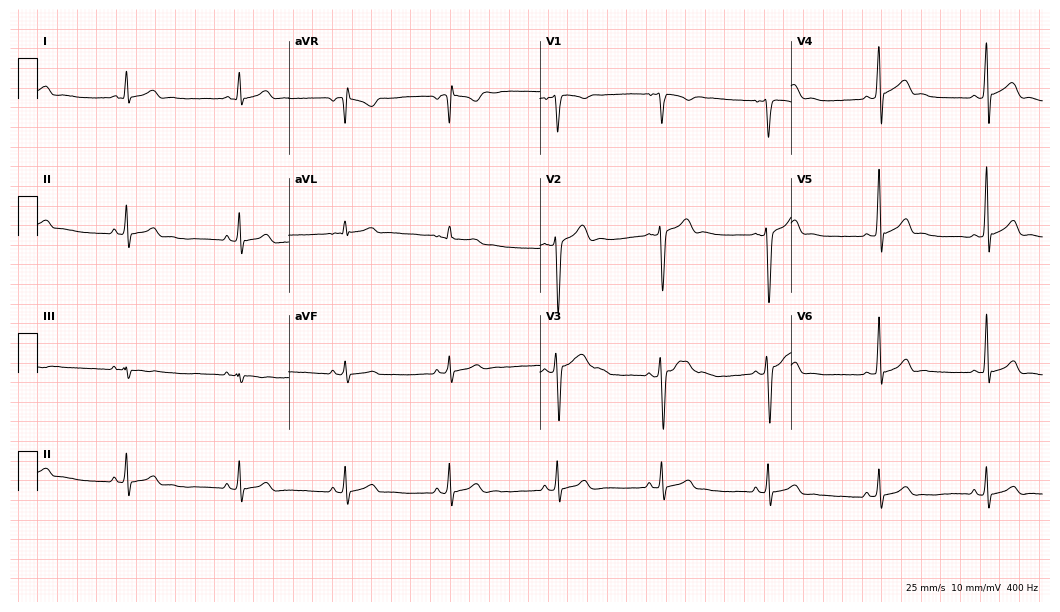
Standard 12-lead ECG recorded from a male patient, 21 years old. Read as a normal ECG.